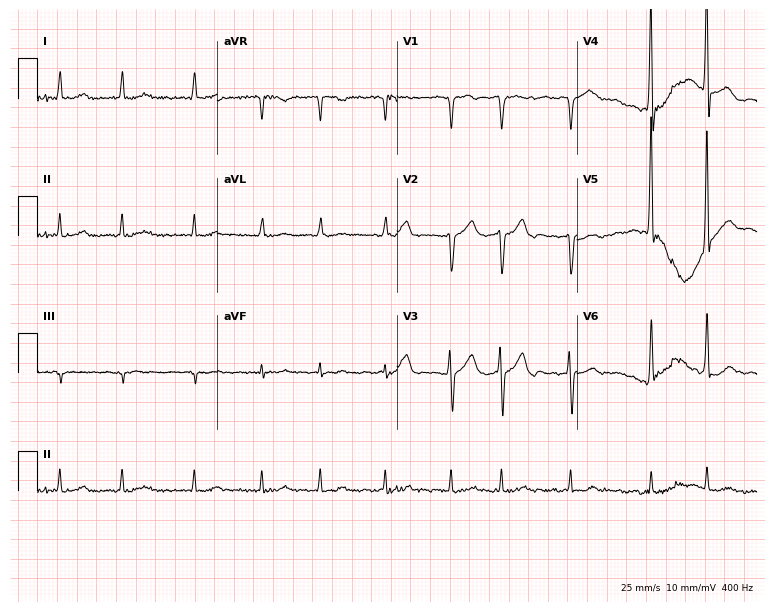
Standard 12-lead ECG recorded from a 78-year-old man. The tracing shows atrial fibrillation.